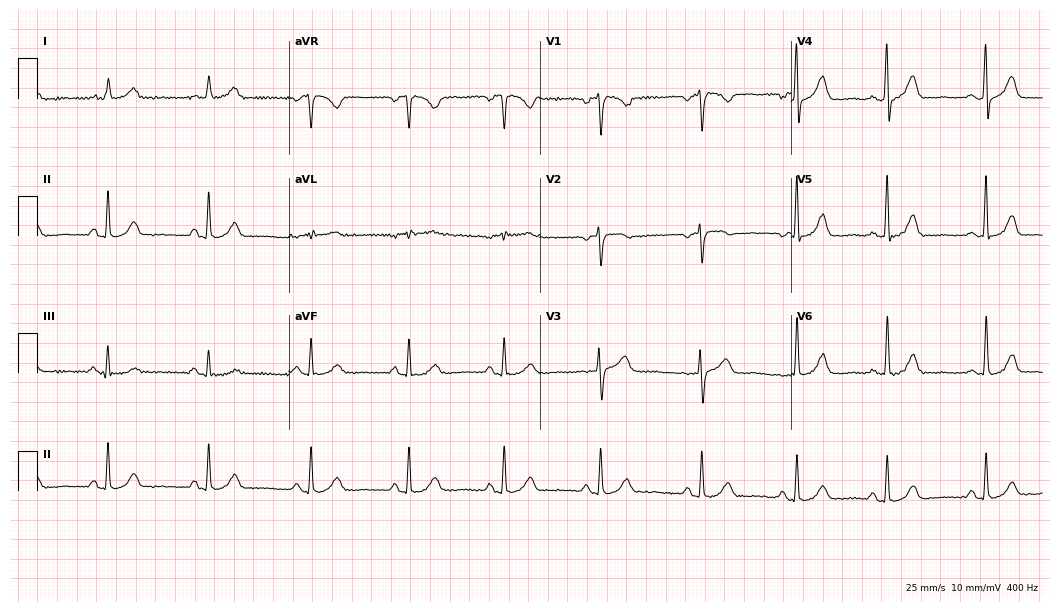
ECG (10.2-second recording at 400 Hz) — a 61-year-old female patient. Labelled as a normal ECG.